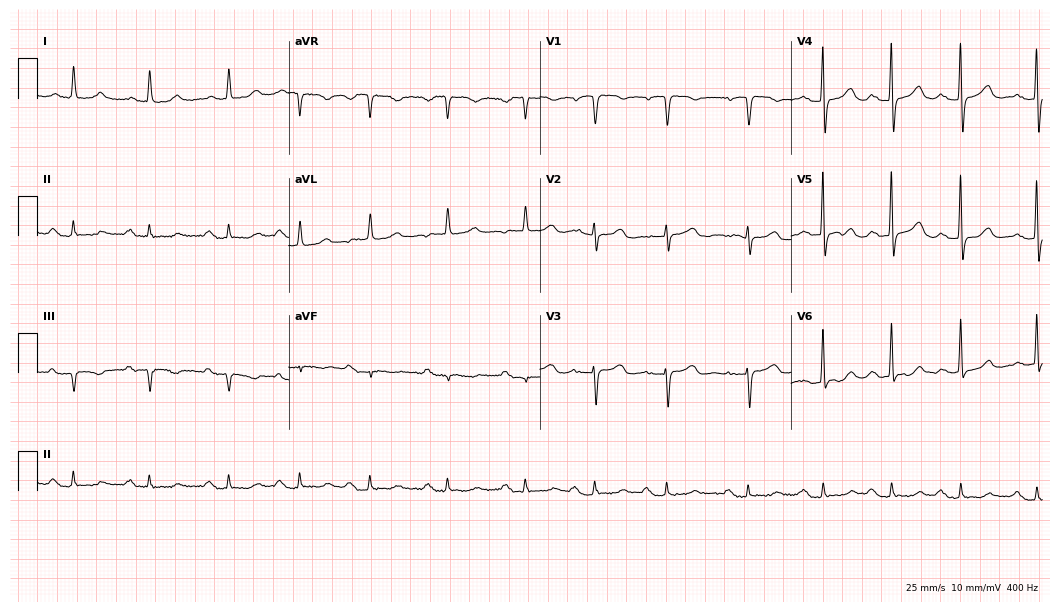
Electrocardiogram (10.2-second recording at 400 Hz), a woman, 72 years old. Overall reading on record: normal ECG.